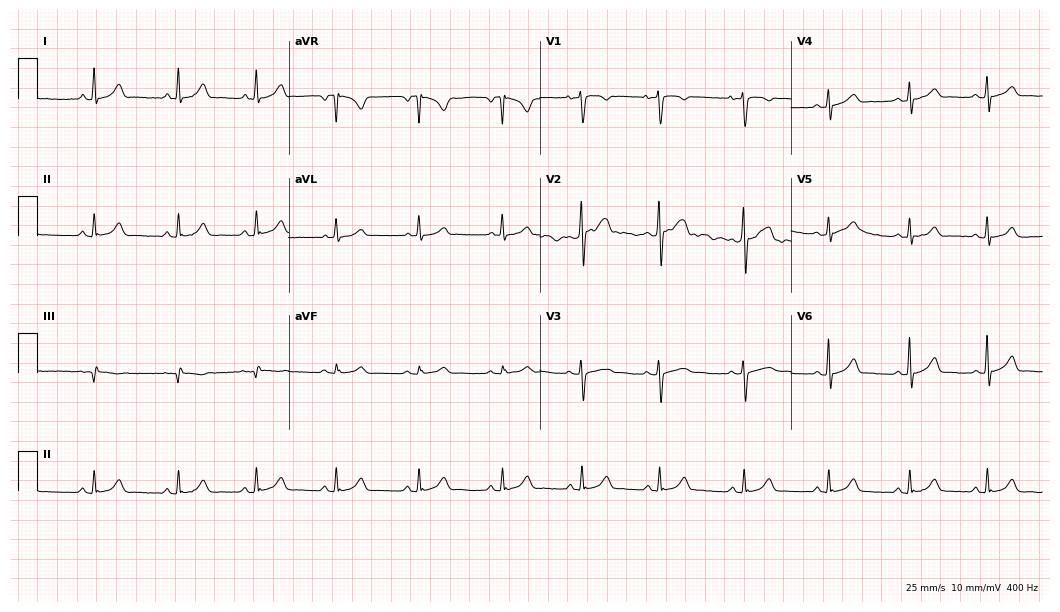
ECG — a female patient, 23 years old. Labelled as a normal ECG.